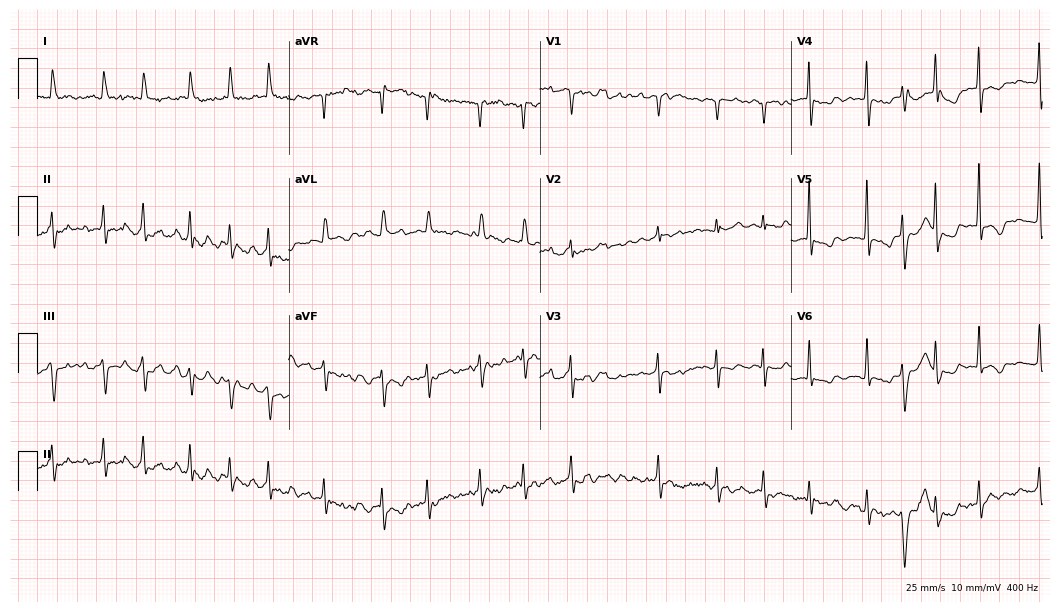
Standard 12-lead ECG recorded from a woman, 68 years old. The tracing shows atrial fibrillation.